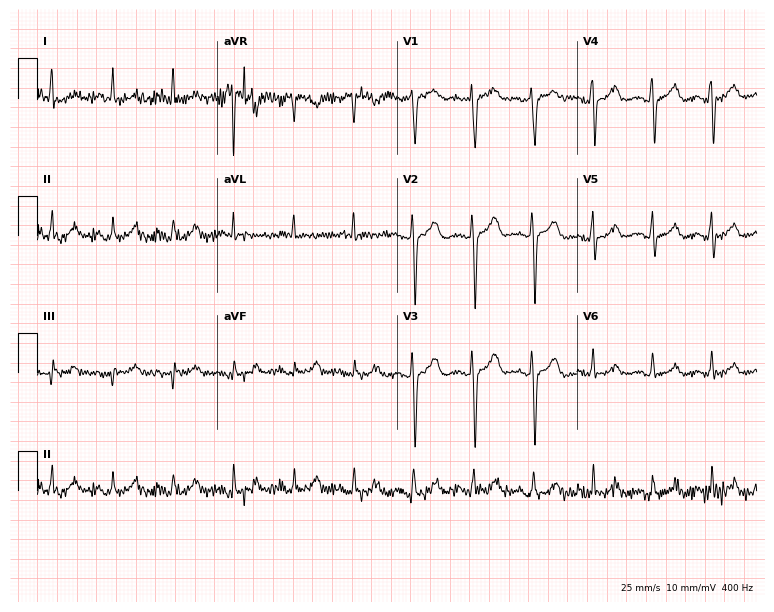
Standard 12-lead ECG recorded from a 67-year-old female (7.3-second recording at 400 Hz). None of these six findings is recorded: first-degree AV block, right bundle branch block (RBBB), left bundle branch block (LBBB), sinus bradycardia, atrial fibrillation (AF), sinus tachycardia. Findings outside these six are not listed.